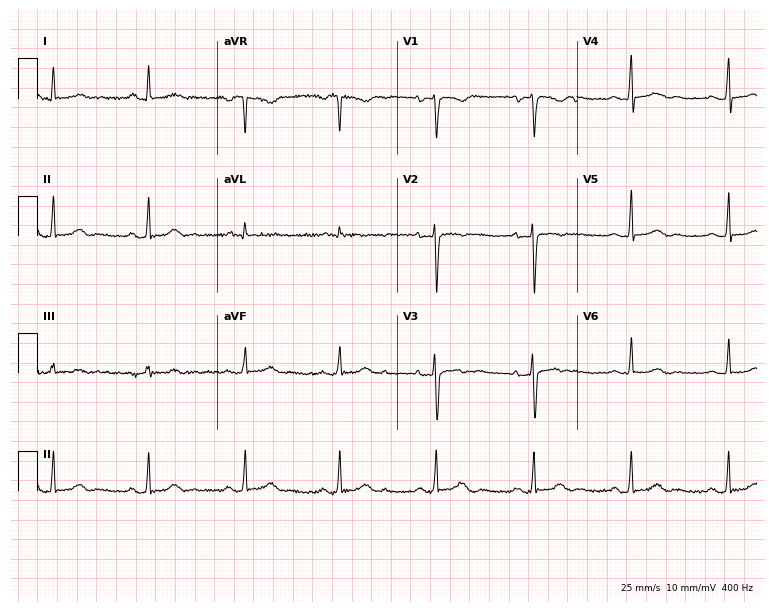
Electrocardiogram (7.3-second recording at 400 Hz), a female, 46 years old. Overall reading on record: normal ECG.